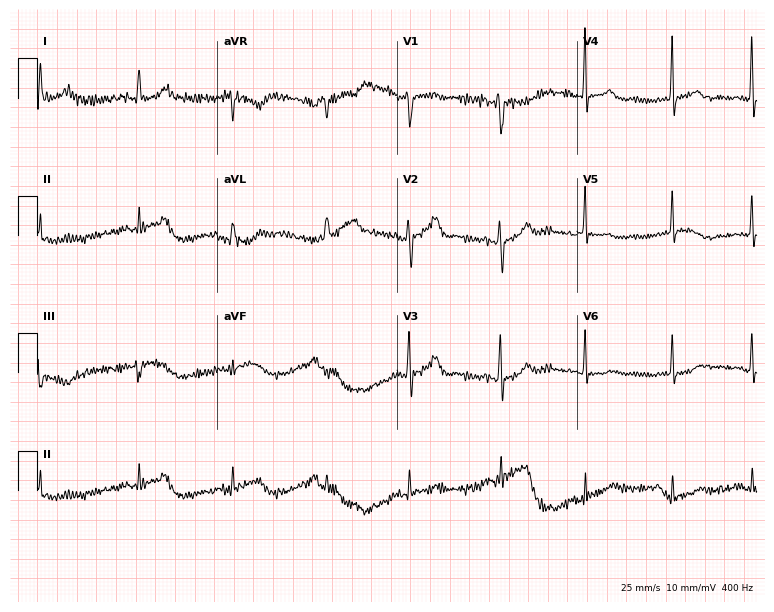
Electrocardiogram (7.3-second recording at 400 Hz), a 75-year-old female. Of the six screened findings (first-degree AV block, right bundle branch block (RBBB), left bundle branch block (LBBB), sinus bradycardia, atrial fibrillation (AF), sinus tachycardia), none is recorded. Other findings, if any, are not listed.